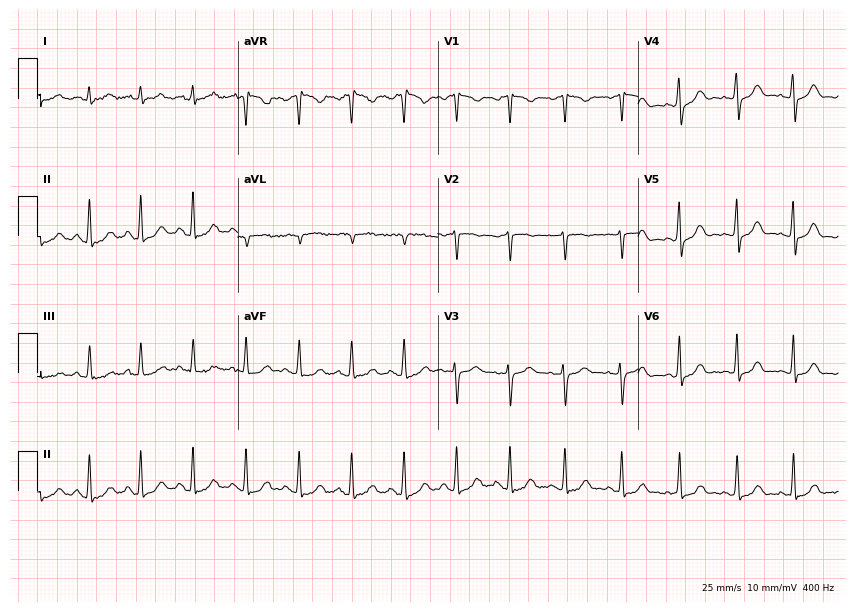
ECG (8.2-second recording at 400 Hz) — a female, 26 years old. Findings include sinus tachycardia (a sinus rate of 100 beats per minute or more).